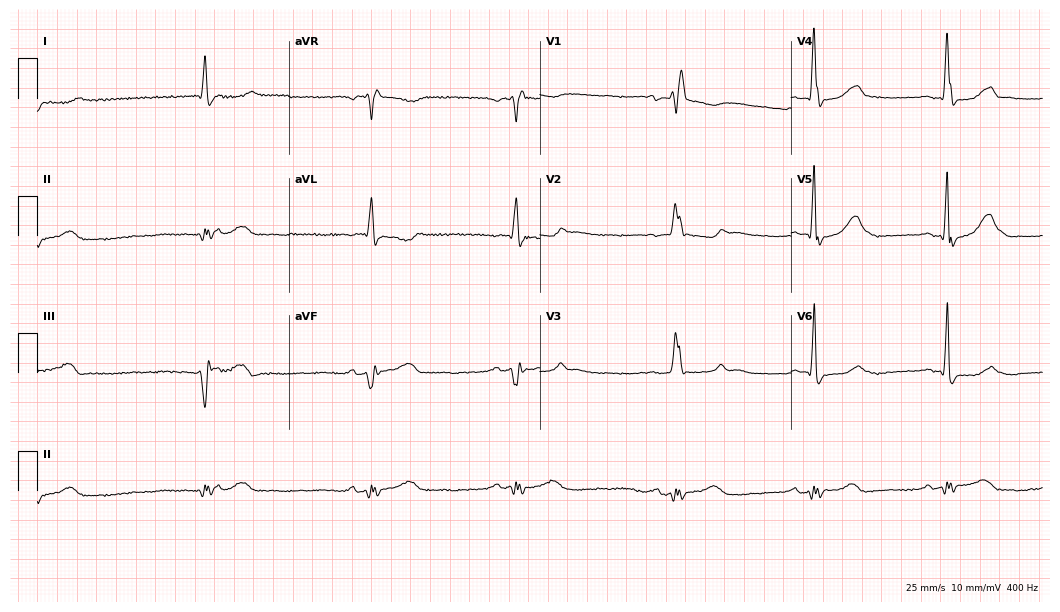
Electrocardiogram (10.2-second recording at 400 Hz), a 72-year-old female patient. Interpretation includes right bundle branch block (RBBB), sinus bradycardia (a sinus rate of 50 beats per minute or less).